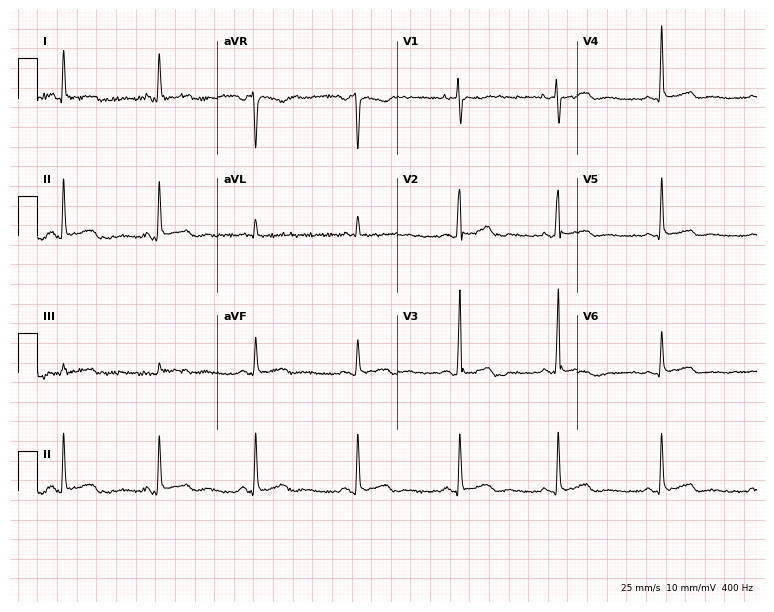
Resting 12-lead electrocardiogram (7.3-second recording at 400 Hz). Patient: a 61-year-old female. None of these six findings is recorded: first-degree AV block, right bundle branch block (RBBB), left bundle branch block (LBBB), sinus bradycardia, atrial fibrillation (AF), sinus tachycardia. Findings outside these six are not listed.